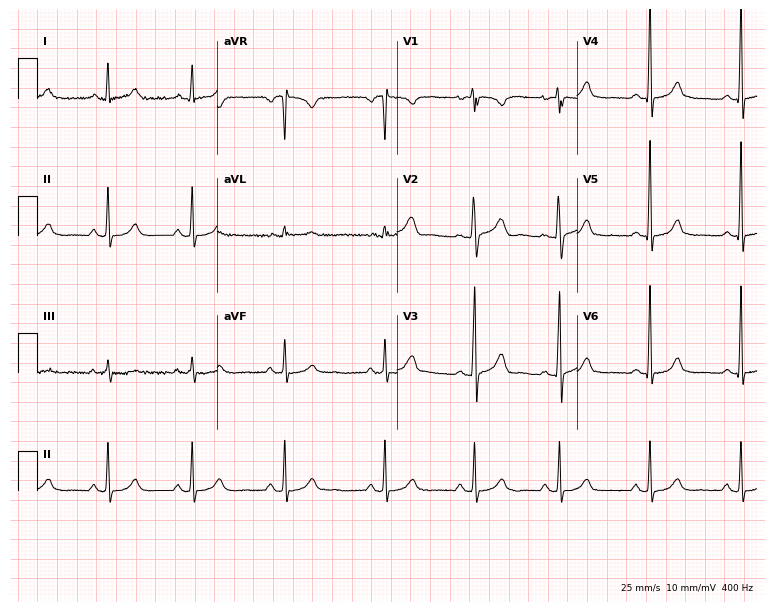
12-lead ECG from a 26-year-old female (7.3-second recording at 400 Hz). Recorded interpretation: within normal limits.